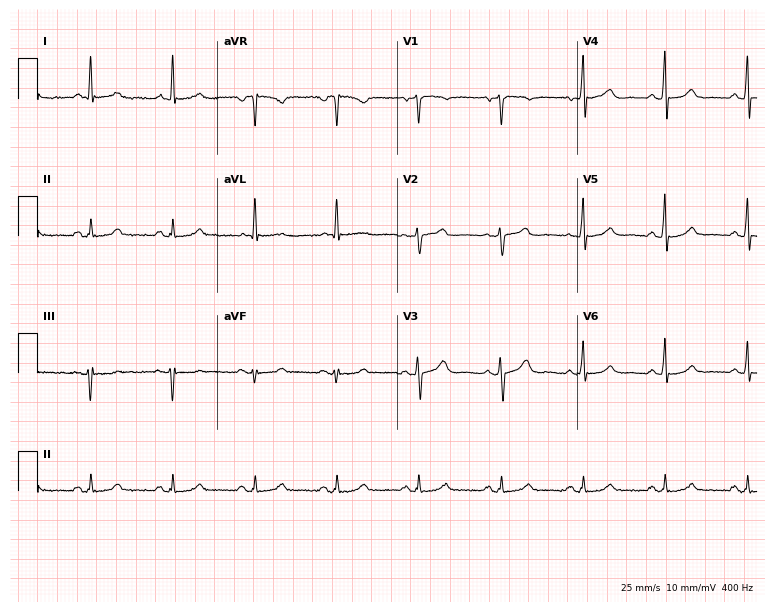
12-lead ECG (7.3-second recording at 400 Hz) from a man, 69 years old. Screened for six findings — first-degree AV block, right bundle branch block, left bundle branch block, sinus bradycardia, atrial fibrillation, sinus tachycardia — none is recorded. Findings outside these six are not listed.